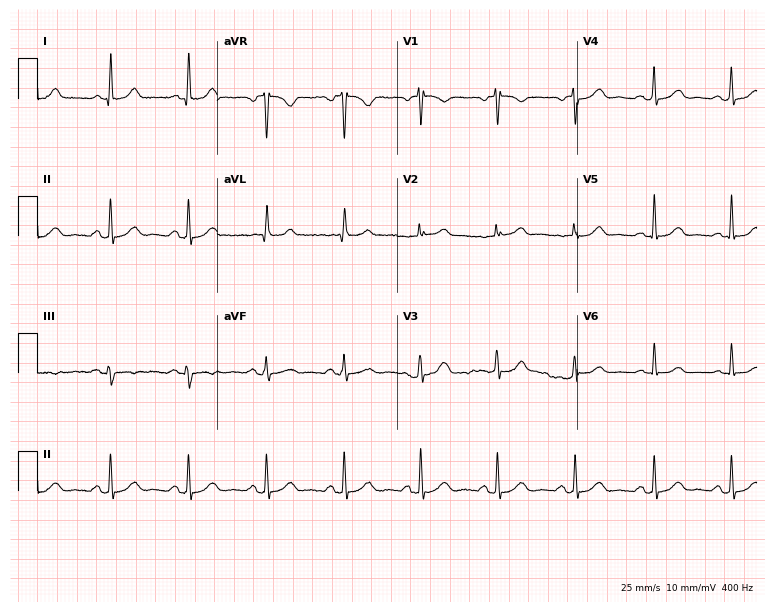
12-lead ECG from a woman, 67 years old (7.3-second recording at 400 Hz). Recorded interpretation: within normal limits.